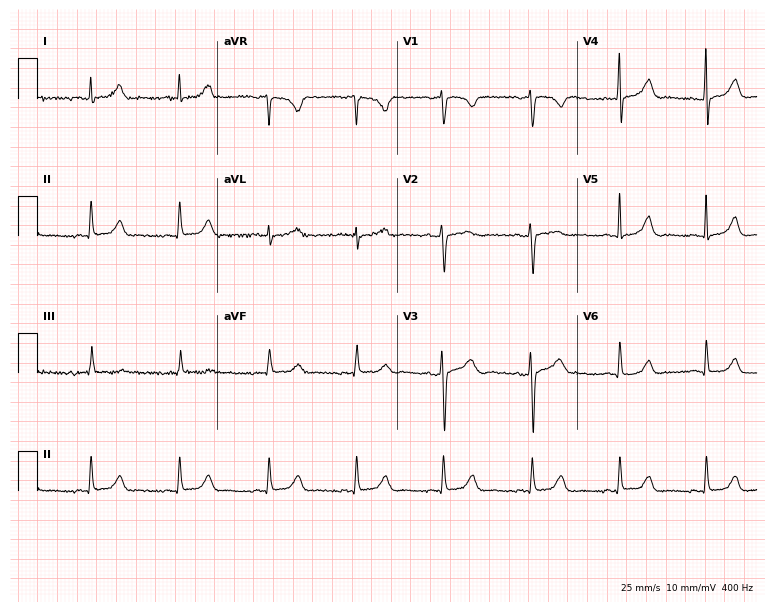
Electrocardiogram (7.3-second recording at 400 Hz), a woman, 50 years old. Overall reading on record: normal ECG.